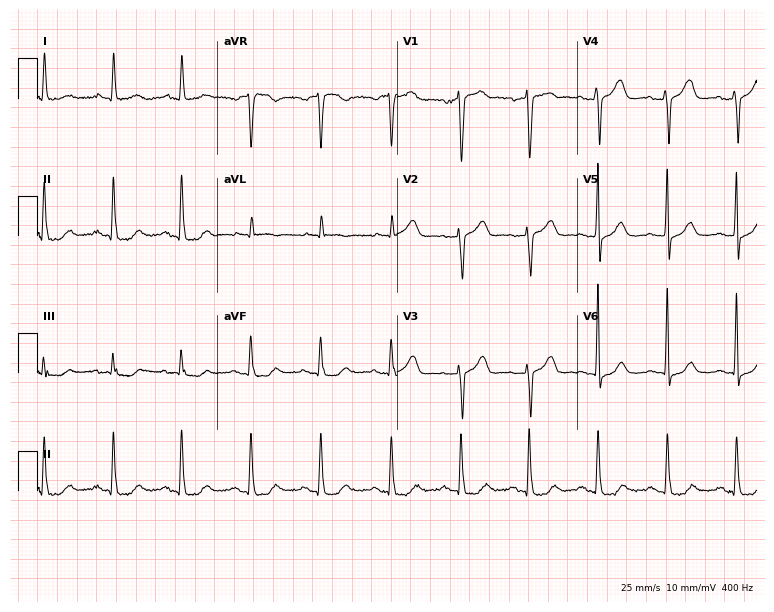
Electrocardiogram (7.3-second recording at 400 Hz), a female patient, 72 years old. Of the six screened findings (first-degree AV block, right bundle branch block, left bundle branch block, sinus bradycardia, atrial fibrillation, sinus tachycardia), none is recorded.